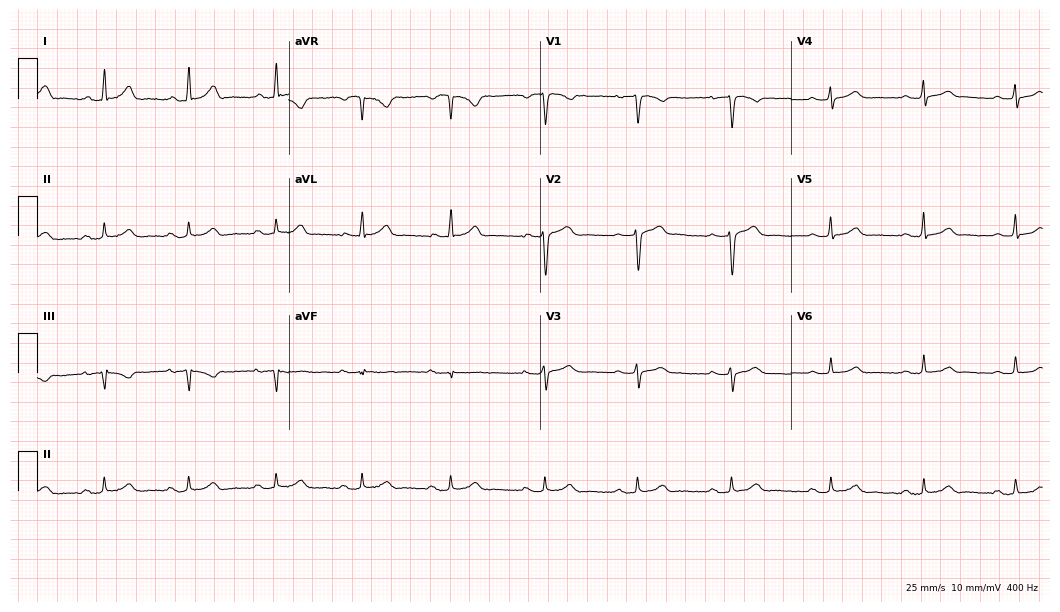
Resting 12-lead electrocardiogram. Patient: a 40-year-old woman. Read as a normal ECG.